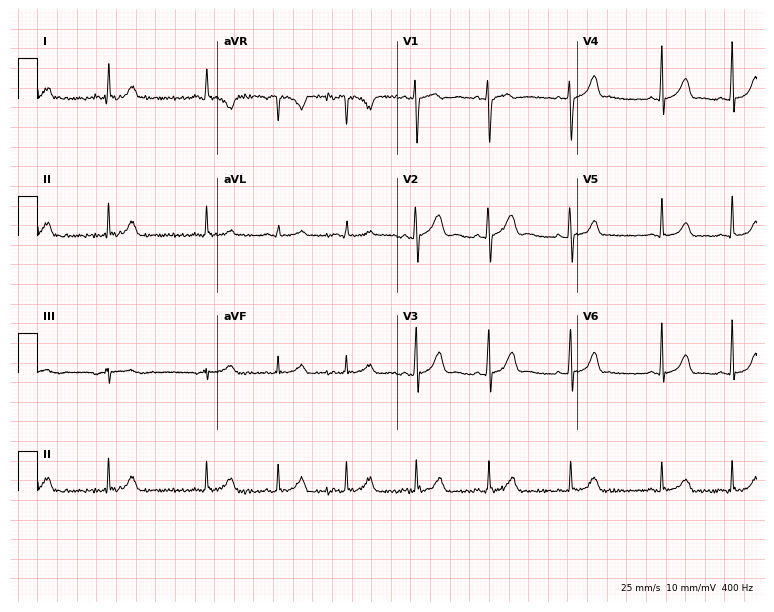
Electrocardiogram, a 19-year-old woman. Of the six screened findings (first-degree AV block, right bundle branch block, left bundle branch block, sinus bradycardia, atrial fibrillation, sinus tachycardia), none is recorded.